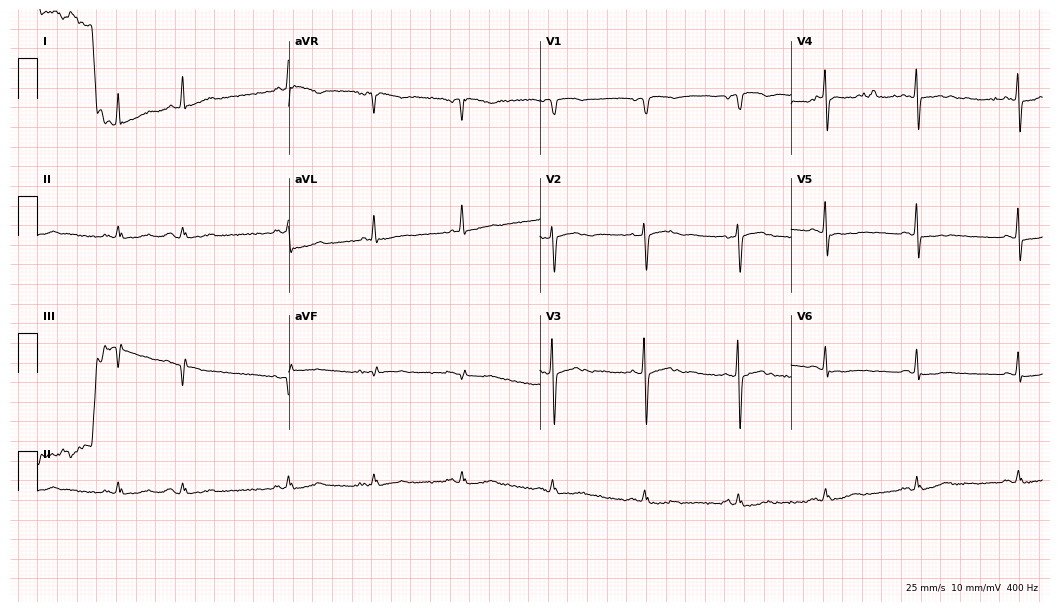
Electrocardiogram, a 76-year-old man. Overall reading on record: normal ECG.